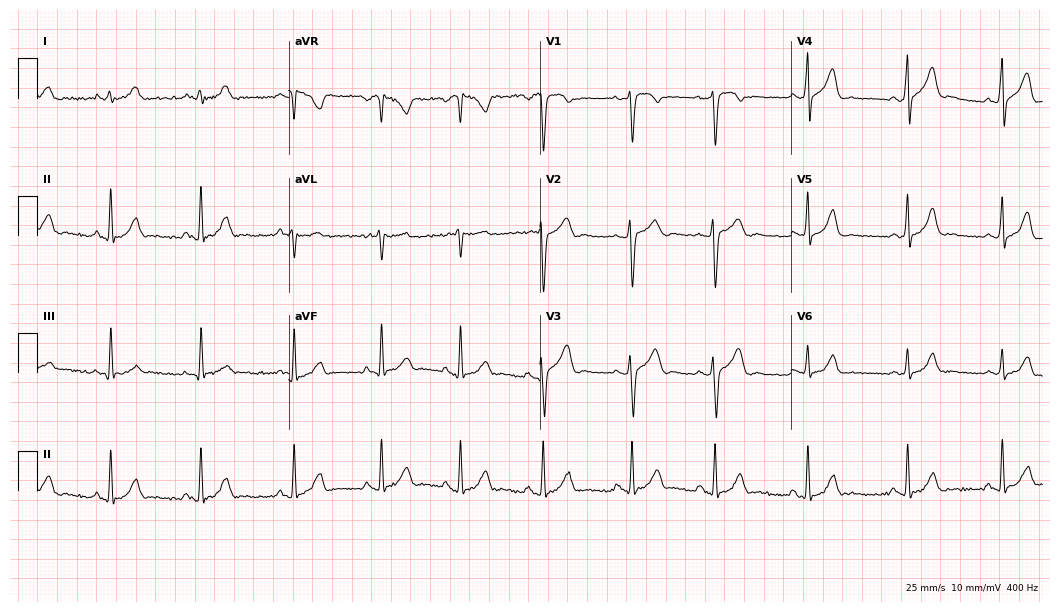
12-lead ECG from a male patient, 20 years old. Recorded interpretation: within normal limits.